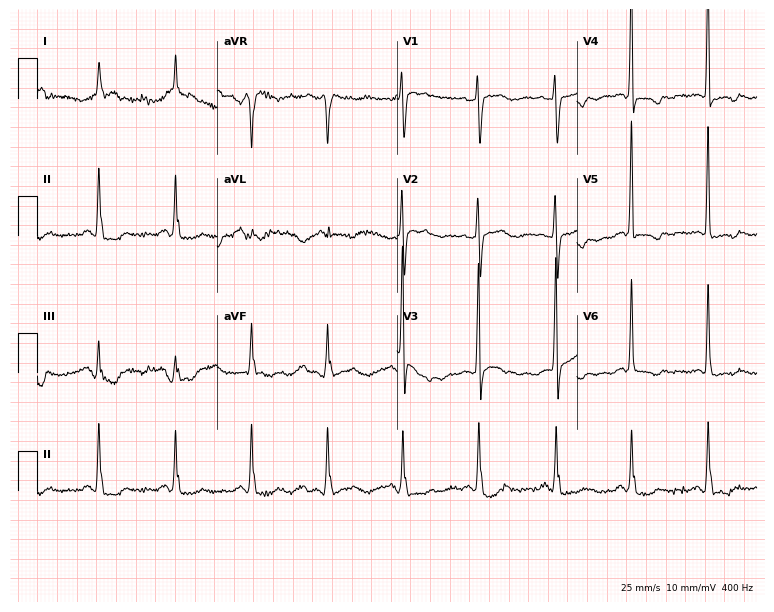
Resting 12-lead electrocardiogram (7.3-second recording at 400 Hz). Patient: a female, 73 years old. None of these six findings is recorded: first-degree AV block, right bundle branch block (RBBB), left bundle branch block (LBBB), sinus bradycardia, atrial fibrillation (AF), sinus tachycardia. Other findings, if any, are not listed.